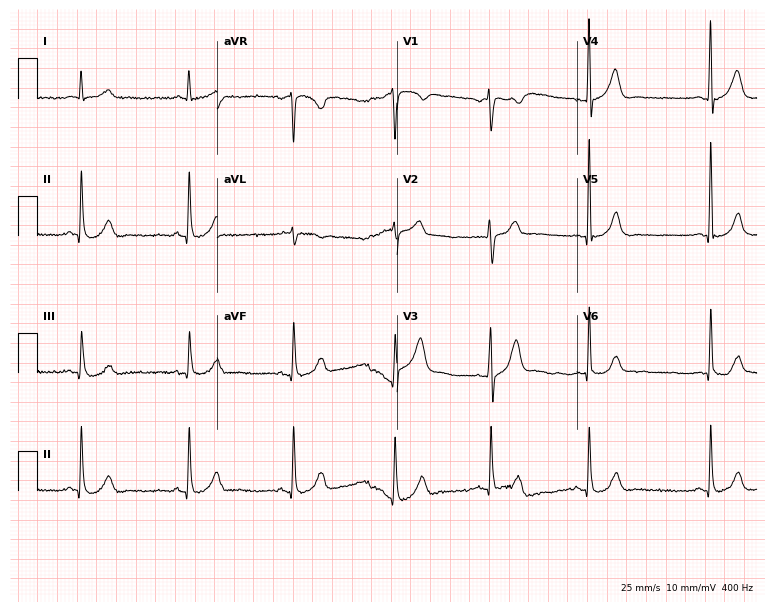
Electrocardiogram (7.3-second recording at 400 Hz), a man, 50 years old. Of the six screened findings (first-degree AV block, right bundle branch block (RBBB), left bundle branch block (LBBB), sinus bradycardia, atrial fibrillation (AF), sinus tachycardia), none is recorded. Findings outside these six are not listed.